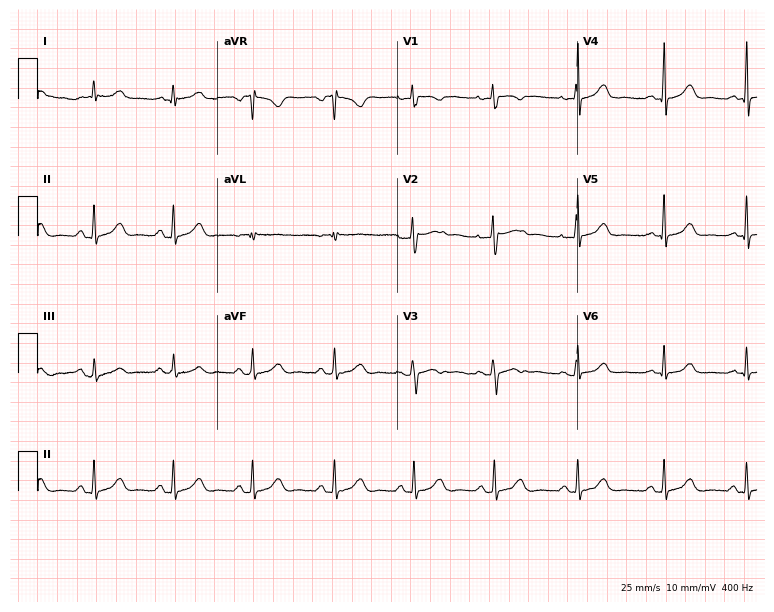
12-lead ECG from a 45-year-old woman (7.3-second recording at 400 Hz). Recorded interpretation: within normal limits.